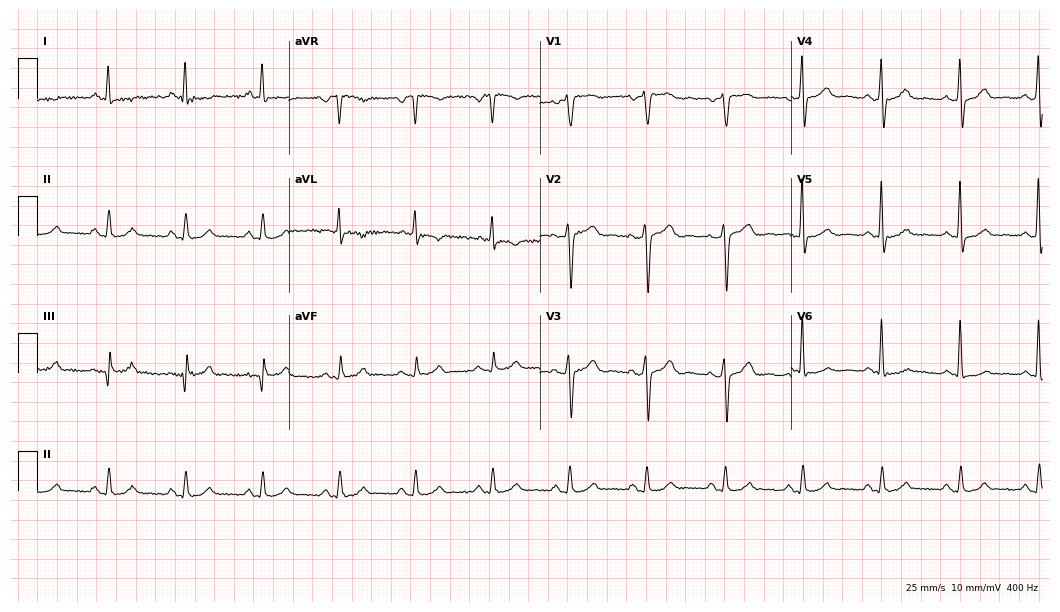
Electrocardiogram, a 58-year-old man. Overall reading on record: normal ECG.